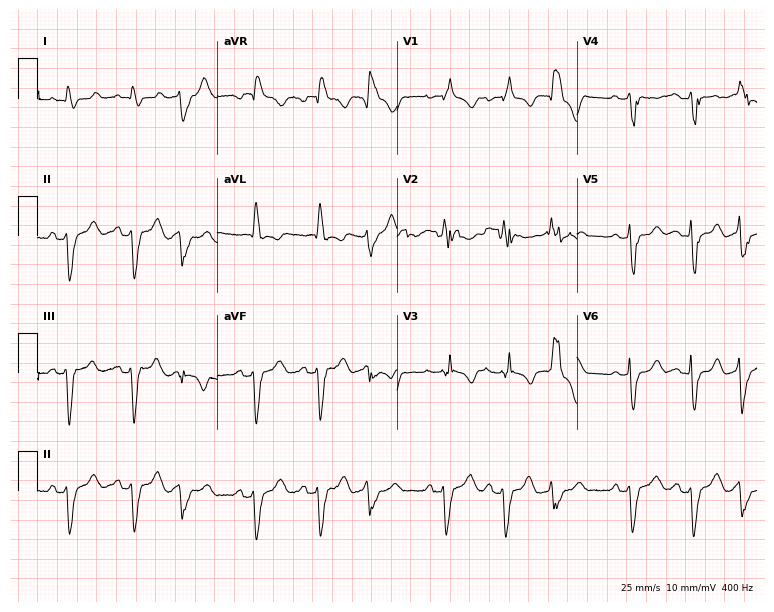
ECG (7.3-second recording at 400 Hz) — a 52-year-old female. Findings include right bundle branch block (RBBB).